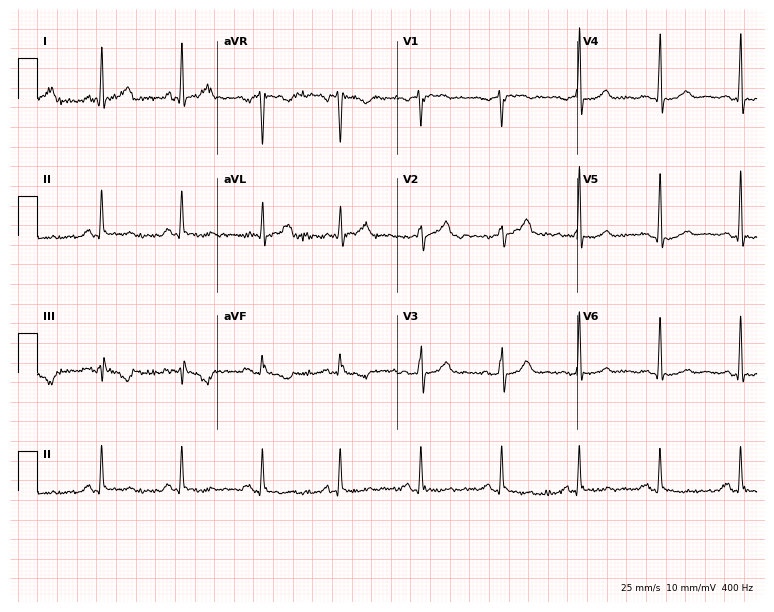
Electrocardiogram (7.3-second recording at 400 Hz), a woman, 56 years old. Of the six screened findings (first-degree AV block, right bundle branch block (RBBB), left bundle branch block (LBBB), sinus bradycardia, atrial fibrillation (AF), sinus tachycardia), none is recorded. Only these six findings were labelled.